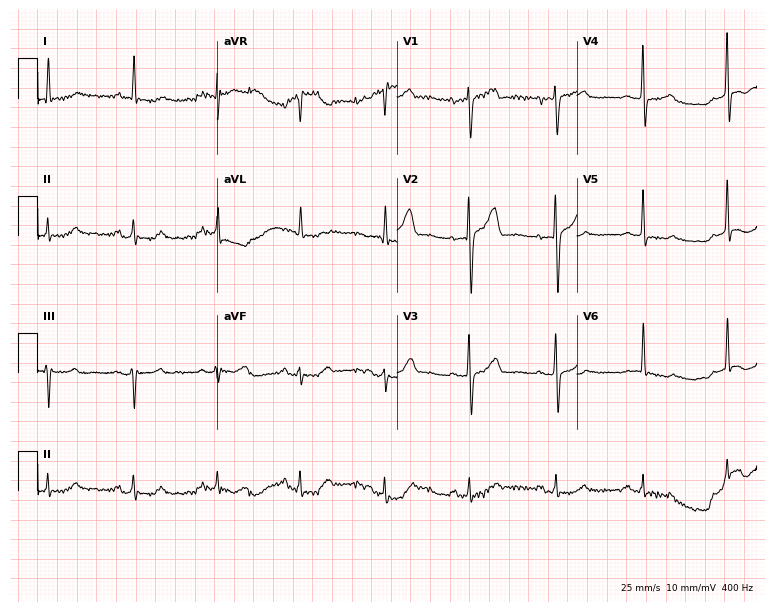
Standard 12-lead ECG recorded from a 75-year-old male patient (7.3-second recording at 400 Hz). None of these six findings is recorded: first-degree AV block, right bundle branch block (RBBB), left bundle branch block (LBBB), sinus bradycardia, atrial fibrillation (AF), sinus tachycardia.